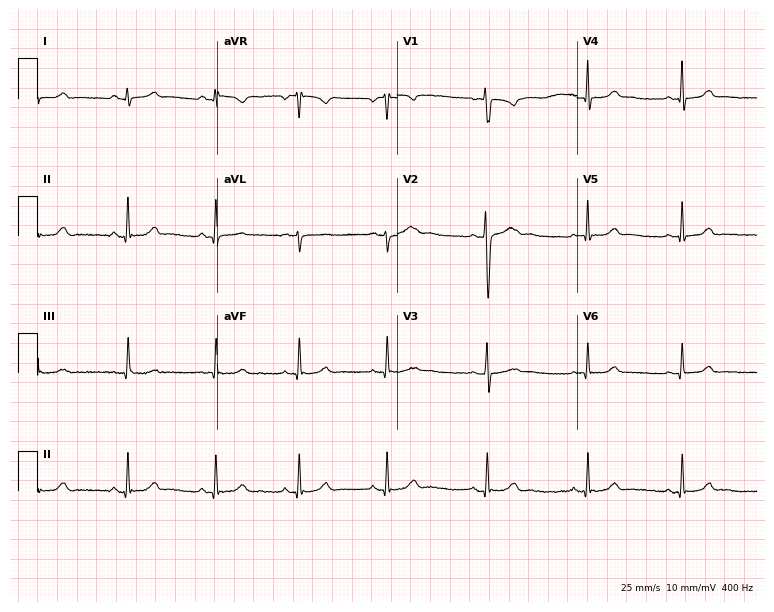
Resting 12-lead electrocardiogram. Patient: a female, 19 years old. Read as a normal ECG.